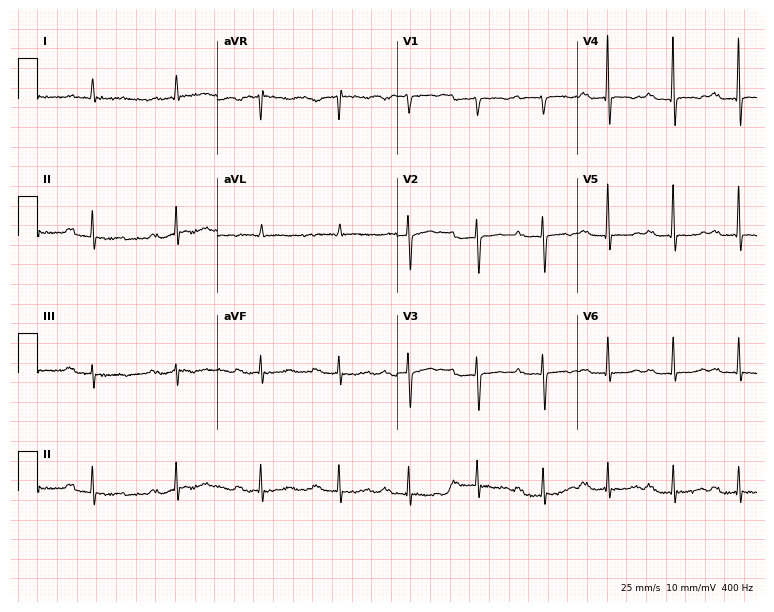
Electrocardiogram (7.3-second recording at 400 Hz), a man, 84 years old. Of the six screened findings (first-degree AV block, right bundle branch block, left bundle branch block, sinus bradycardia, atrial fibrillation, sinus tachycardia), none is recorded.